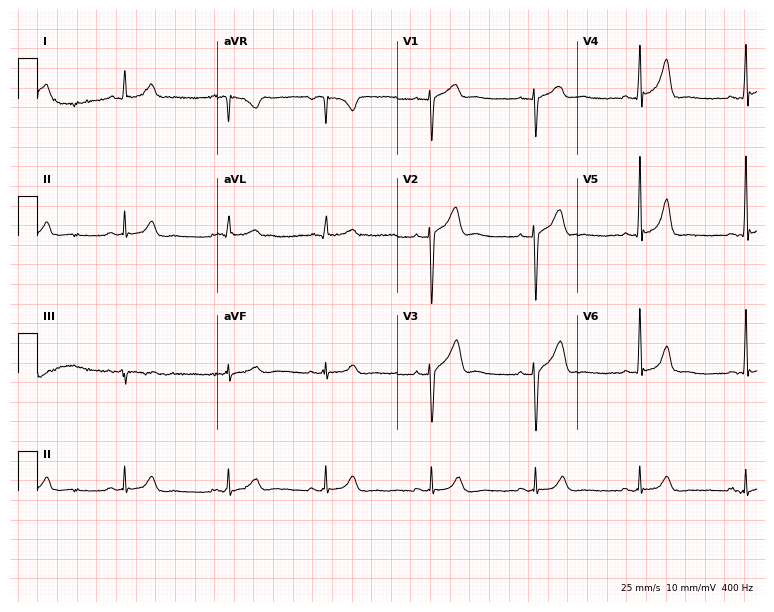
12-lead ECG from a 54-year-old male patient (7.3-second recording at 400 Hz). No first-degree AV block, right bundle branch block, left bundle branch block, sinus bradycardia, atrial fibrillation or sinus tachycardia recorded for this tracing. Only these six findings were labelled.